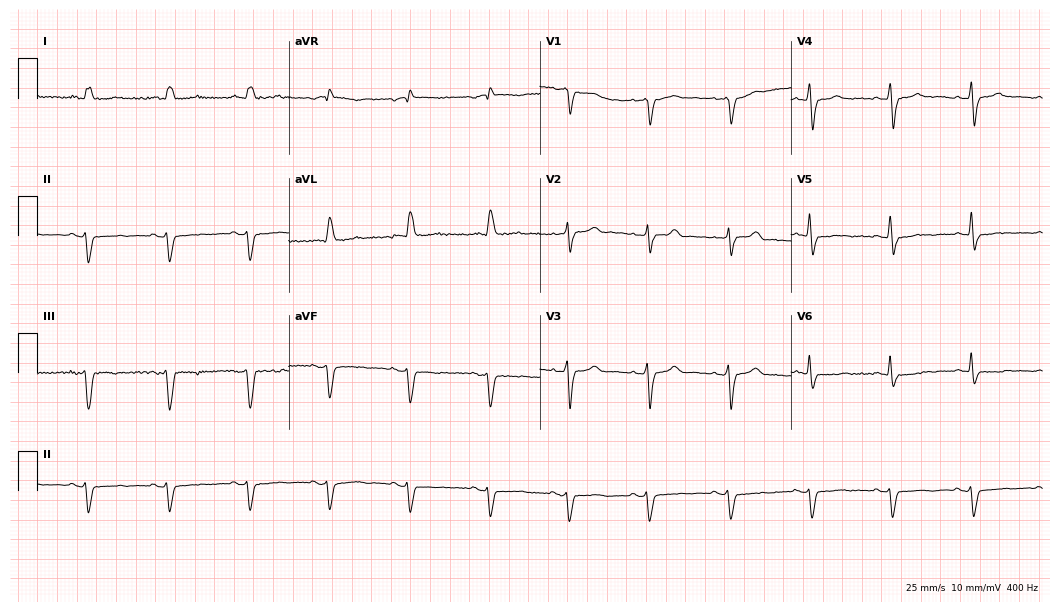
Standard 12-lead ECG recorded from a 72-year-old male. The tracing shows left bundle branch block.